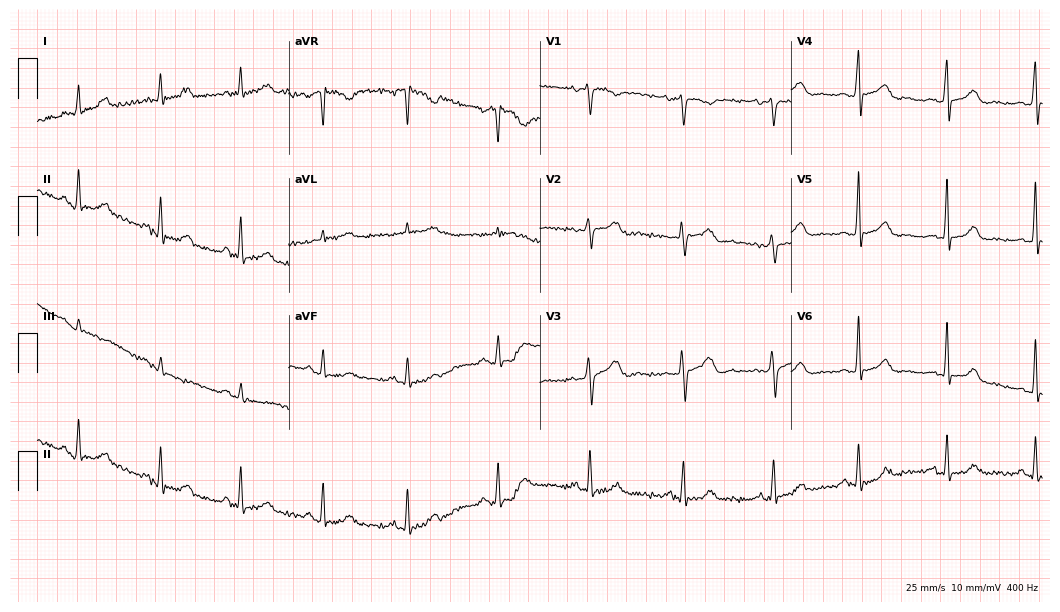
Standard 12-lead ECG recorded from a 44-year-old woman. None of these six findings is recorded: first-degree AV block, right bundle branch block, left bundle branch block, sinus bradycardia, atrial fibrillation, sinus tachycardia. Other findings, if any, are not listed.